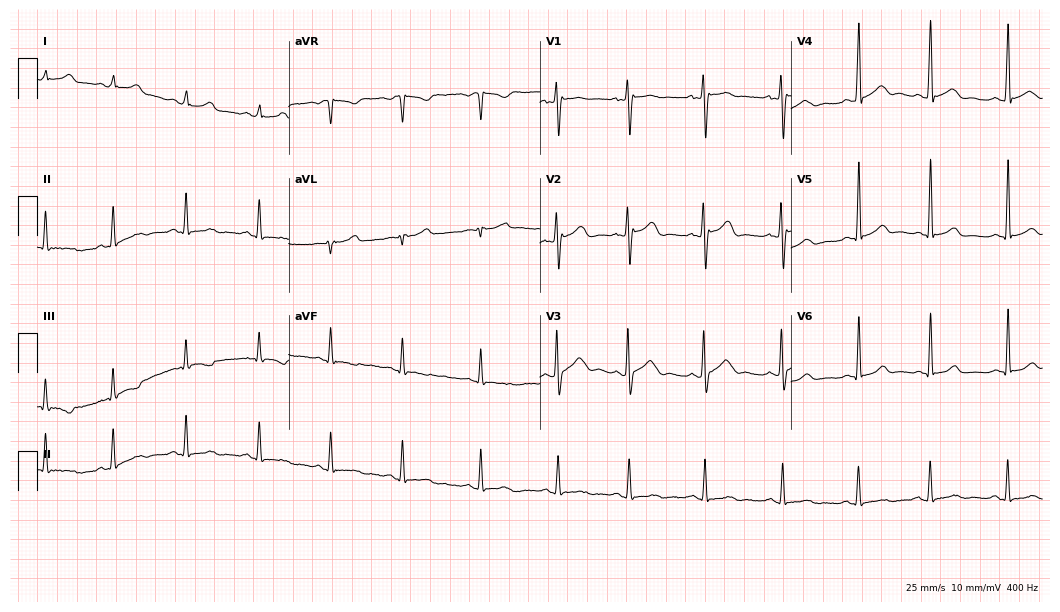
Resting 12-lead electrocardiogram (10.2-second recording at 400 Hz). Patient: a male, 18 years old. None of these six findings is recorded: first-degree AV block, right bundle branch block (RBBB), left bundle branch block (LBBB), sinus bradycardia, atrial fibrillation (AF), sinus tachycardia.